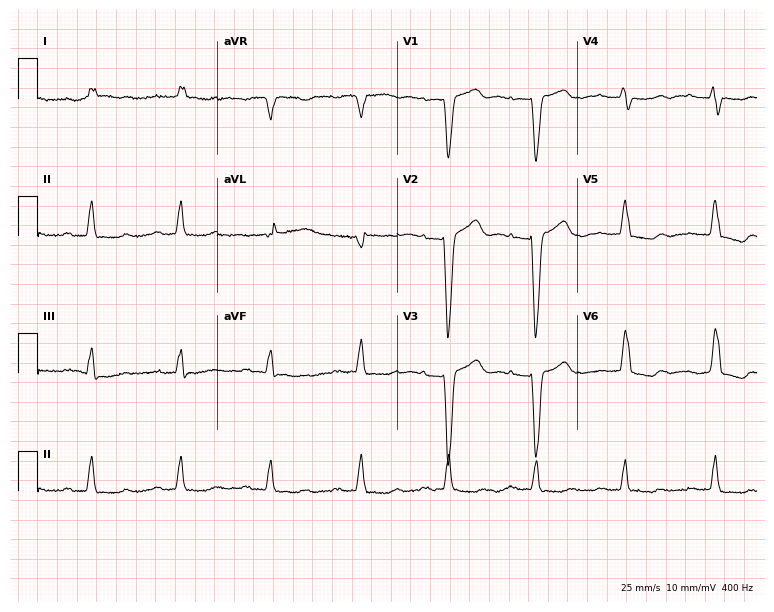
ECG (7.3-second recording at 400 Hz) — an 84-year-old female patient. Findings include first-degree AV block, left bundle branch block (LBBB).